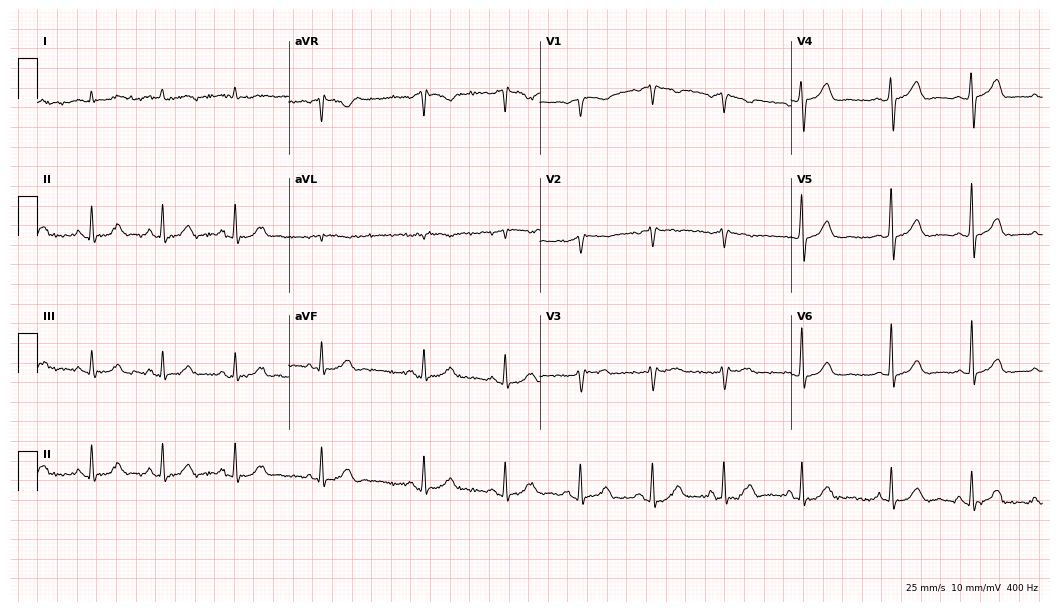
Resting 12-lead electrocardiogram. Patient: a male, 77 years old. None of these six findings is recorded: first-degree AV block, right bundle branch block, left bundle branch block, sinus bradycardia, atrial fibrillation, sinus tachycardia.